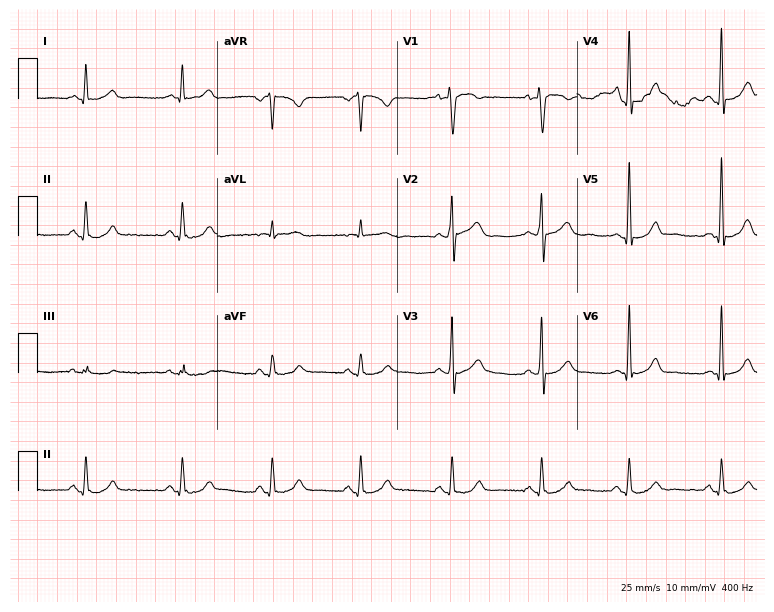
ECG — a 47-year-old male patient. Screened for six findings — first-degree AV block, right bundle branch block, left bundle branch block, sinus bradycardia, atrial fibrillation, sinus tachycardia — none is recorded.